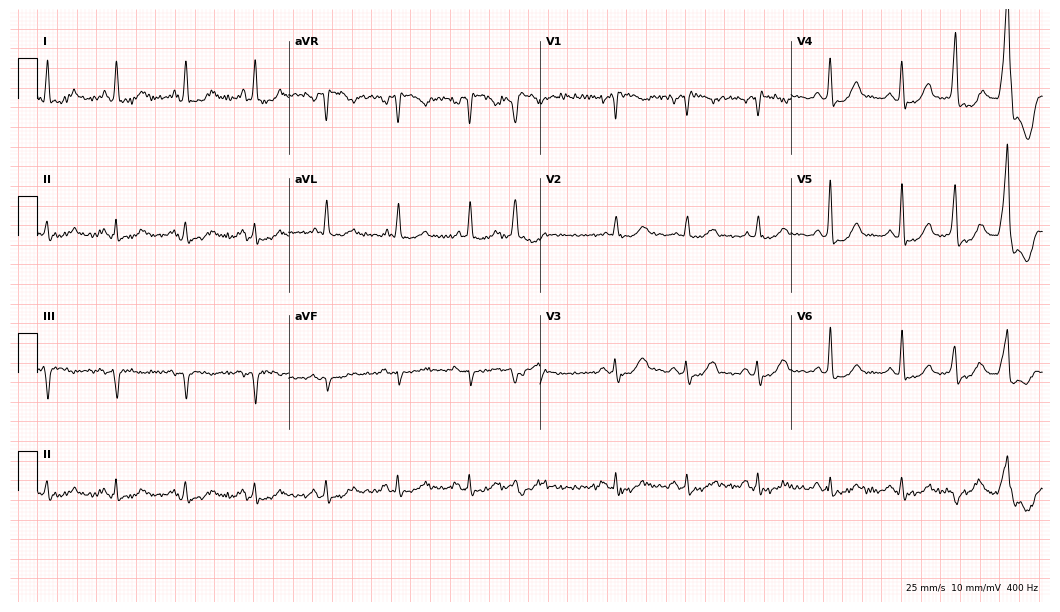
12-lead ECG (10.2-second recording at 400 Hz) from a man, 78 years old. Screened for six findings — first-degree AV block, right bundle branch block, left bundle branch block, sinus bradycardia, atrial fibrillation, sinus tachycardia — none is recorded.